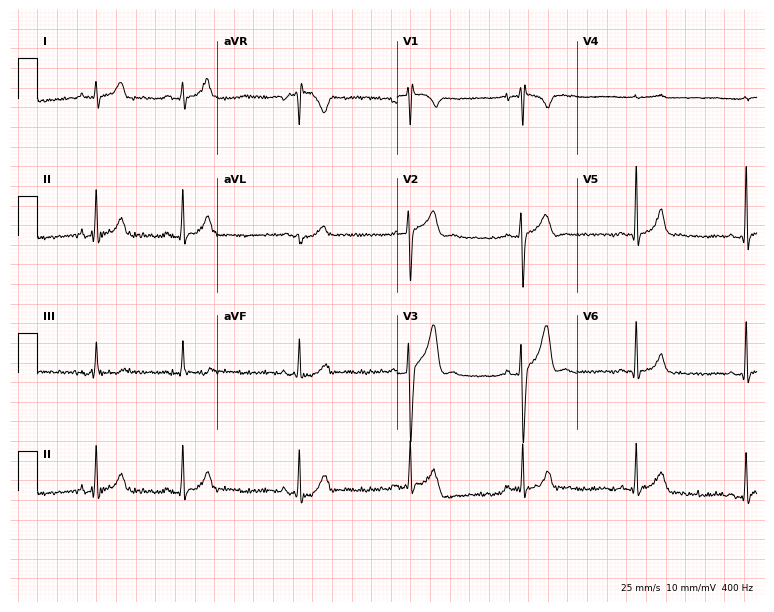
Electrocardiogram (7.3-second recording at 400 Hz), a 20-year-old male patient. Overall reading on record: normal ECG.